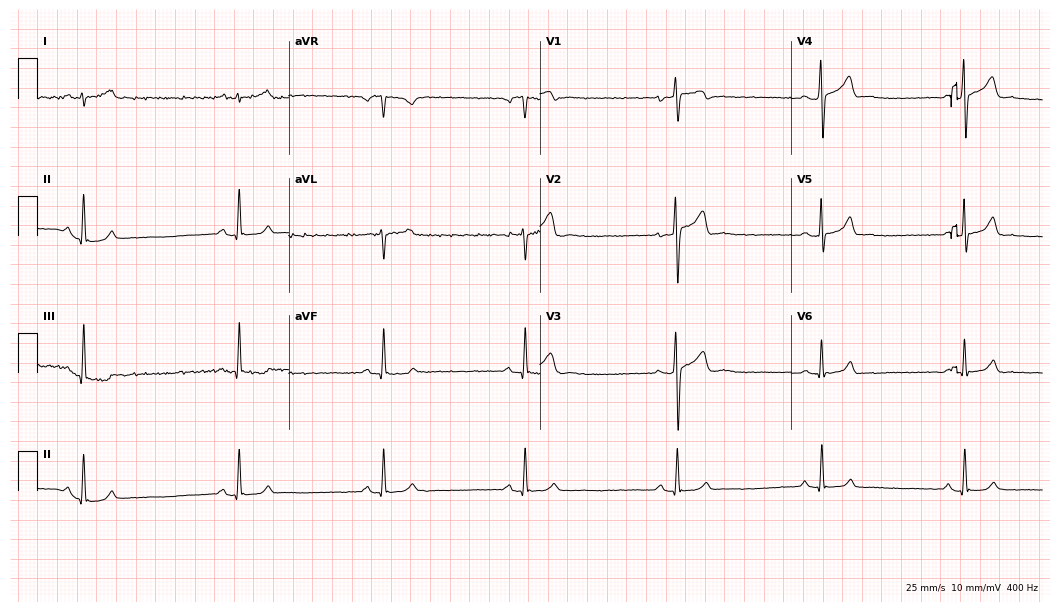
Resting 12-lead electrocardiogram (10.2-second recording at 400 Hz). Patient: a 23-year-old man. None of these six findings is recorded: first-degree AV block, right bundle branch block, left bundle branch block, sinus bradycardia, atrial fibrillation, sinus tachycardia. Only these six findings were labelled.